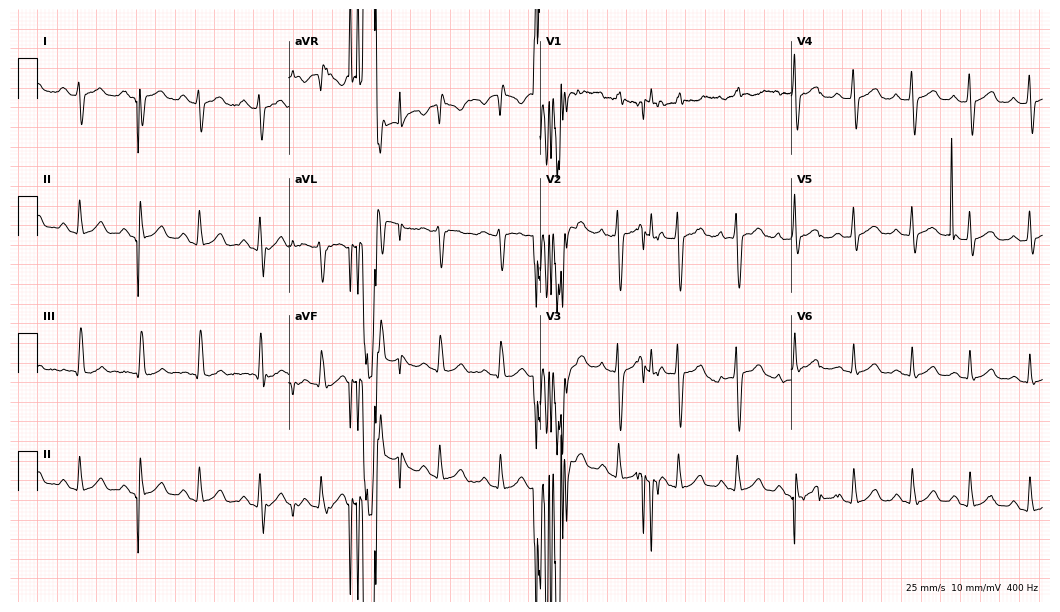
ECG — a woman, 27 years old. Screened for six findings — first-degree AV block, right bundle branch block (RBBB), left bundle branch block (LBBB), sinus bradycardia, atrial fibrillation (AF), sinus tachycardia — none is recorded. Only these six findings were labelled.